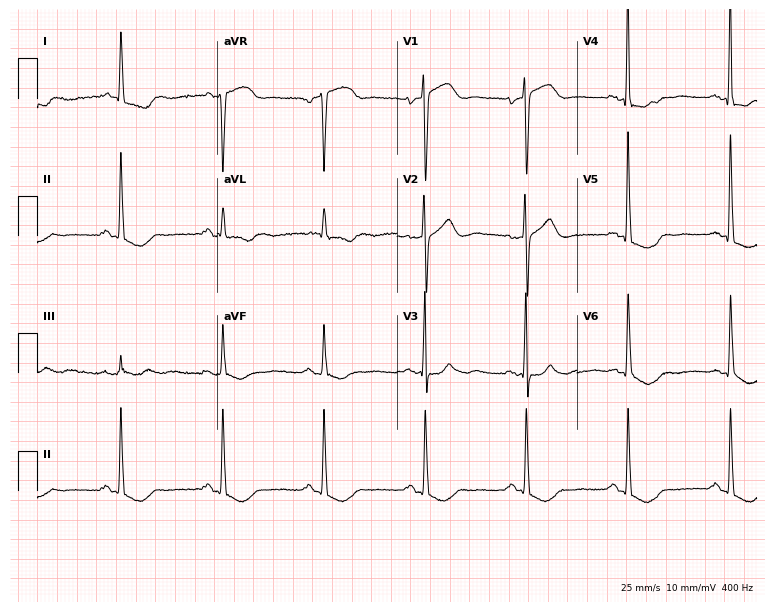
Resting 12-lead electrocardiogram. Patient: a 74-year-old female. None of these six findings is recorded: first-degree AV block, right bundle branch block, left bundle branch block, sinus bradycardia, atrial fibrillation, sinus tachycardia.